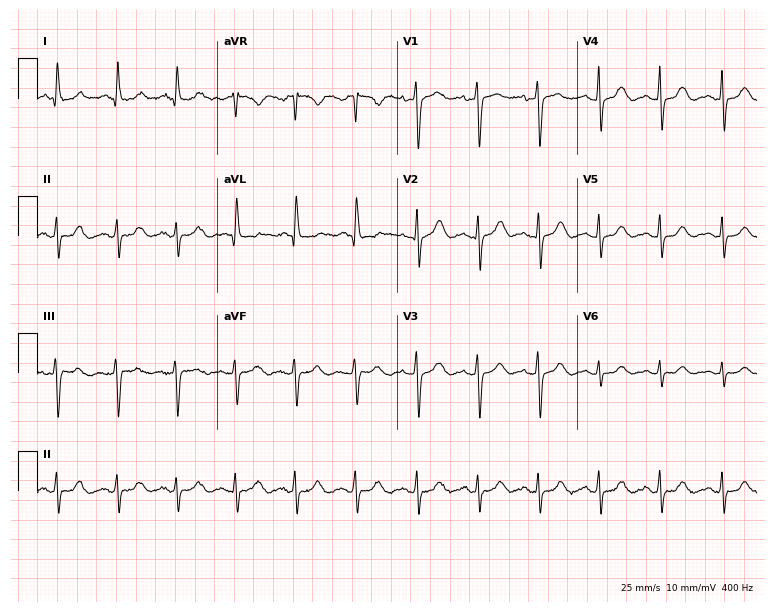
ECG (7.3-second recording at 400 Hz) — a woman, 67 years old. Screened for six findings — first-degree AV block, right bundle branch block, left bundle branch block, sinus bradycardia, atrial fibrillation, sinus tachycardia — none is recorded.